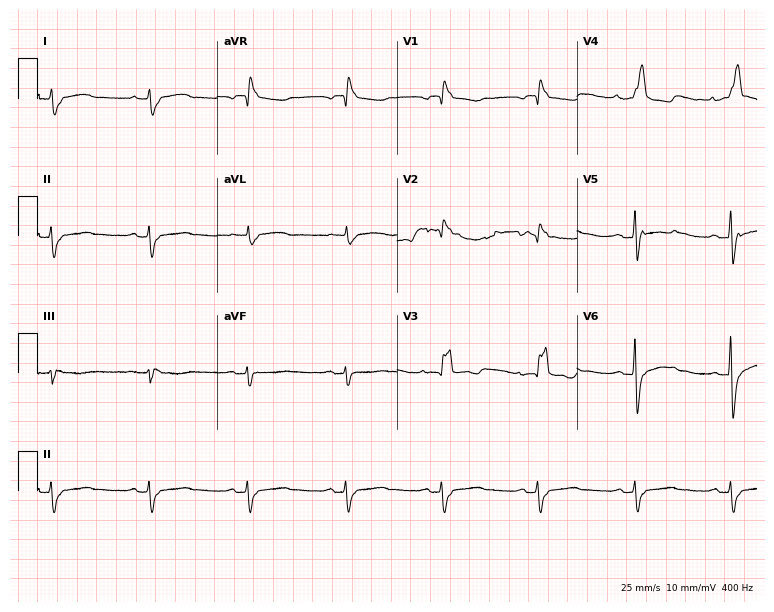
Standard 12-lead ECG recorded from an 83-year-old woman. The tracing shows right bundle branch block (RBBB).